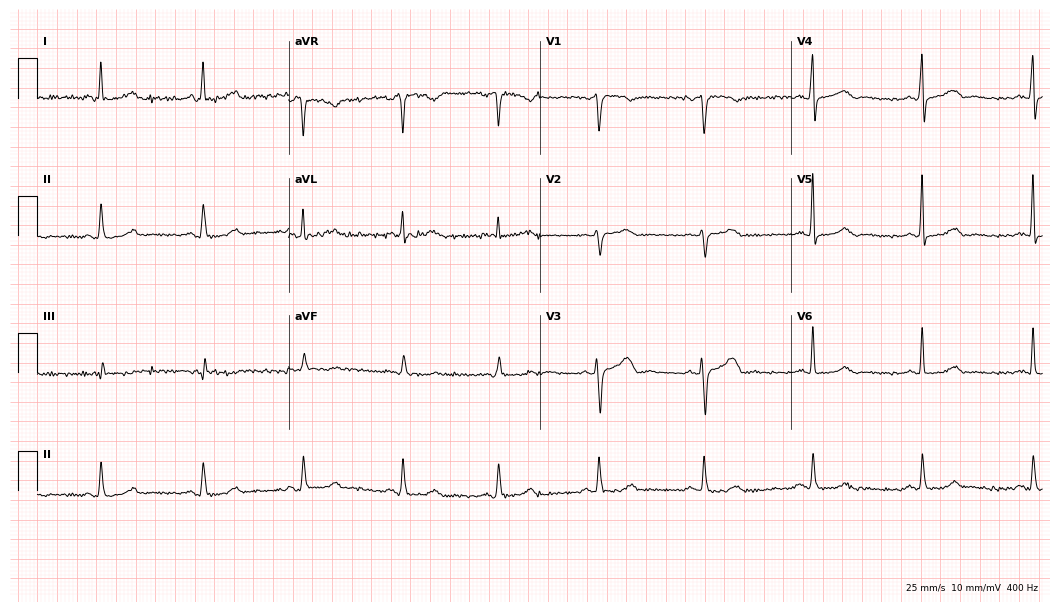
Electrocardiogram, a 40-year-old woman. Overall reading on record: normal ECG.